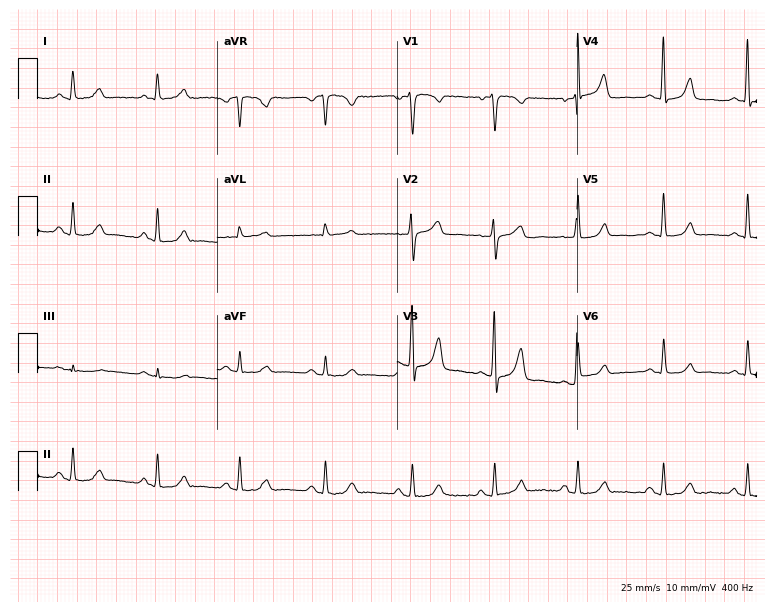
Standard 12-lead ECG recorded from a female, 40 years old. None of these six findings is recorded: first-degree AV block, right bundle branch block, left bundle branch block, sinus bradycardia, atrial fibrillation, sinus tachycardia. Other findings, if any, are not listed.